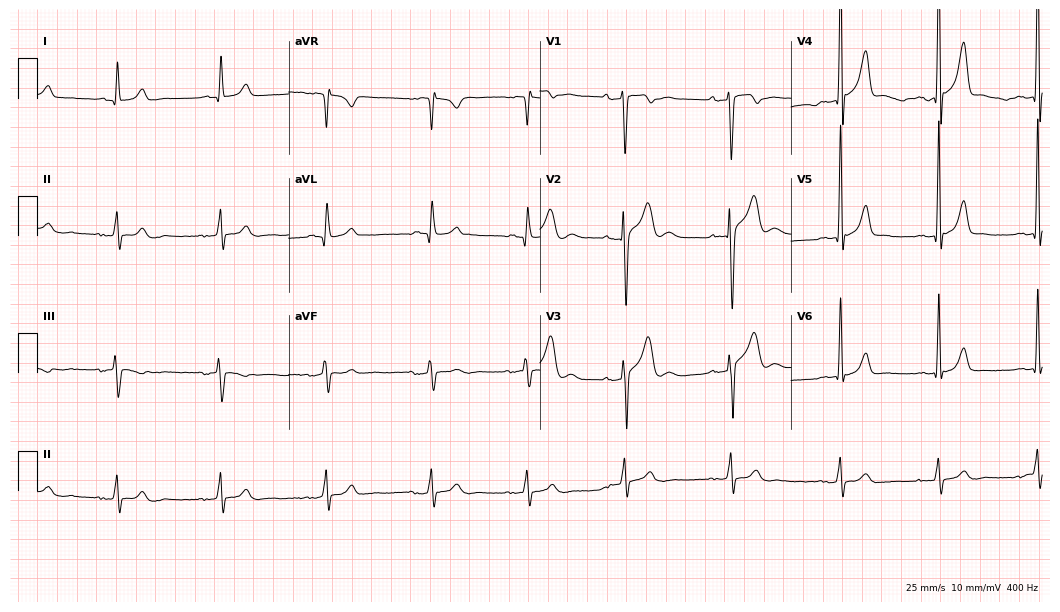
Resting 12-lead electrocardiogram (10.2-second recording at 400 Hz). Patient: a male, 22 years old. None of these six findings is recorded: first-degree AV block, right bundle branch block, left bundle branch block, sinus bradycardia, atrial fibrillation, sinus tachycardia. Findings outside these six are not listed.